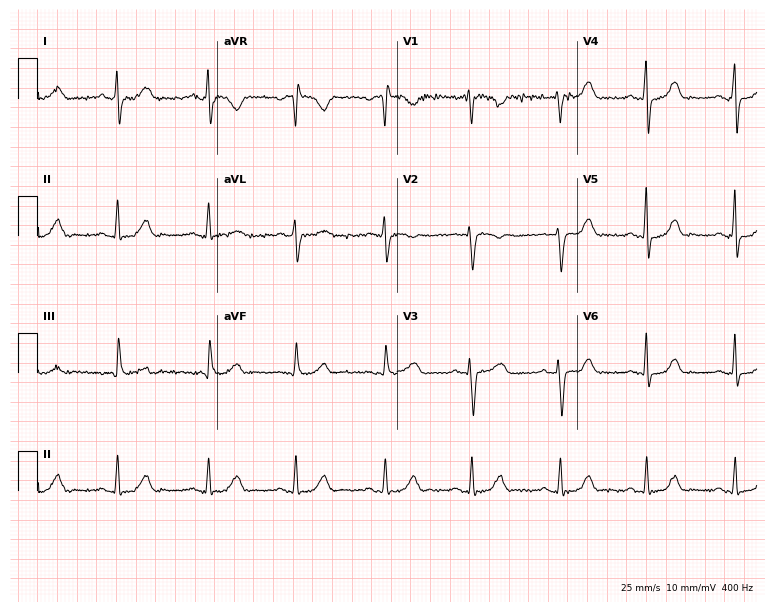
Resting 12-lead electrocardiogram (7.3-second recording at 400 Hz). Patient: a female, 49 years old. Read as a normal ECG.